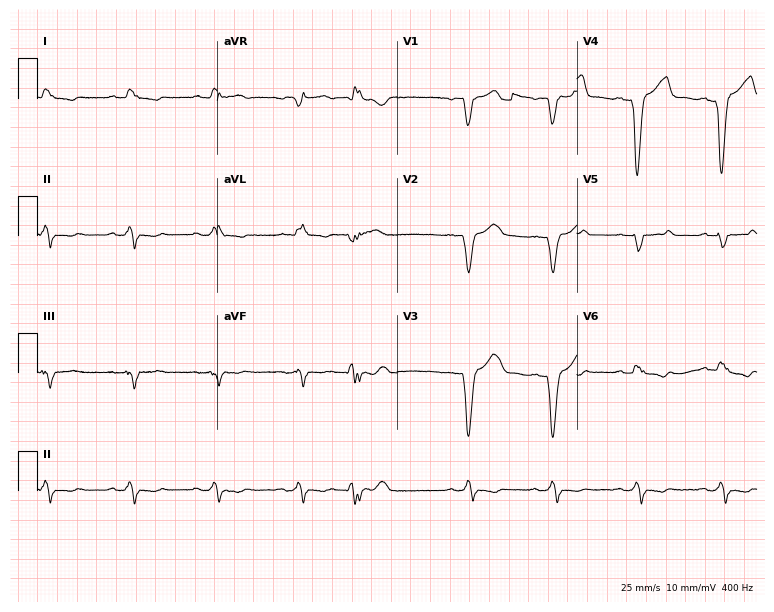
Electrocardiogram, a 49-year-old male. Interpretation includes left bundle branch block.